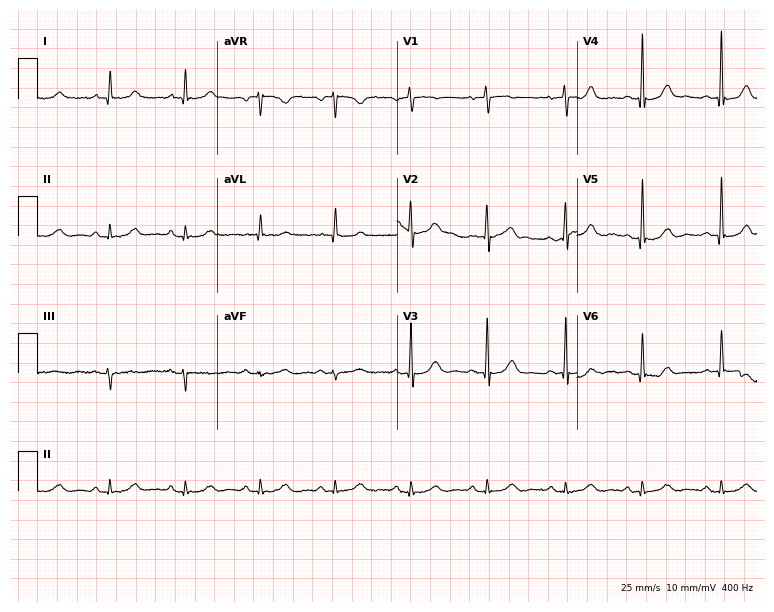
Resting 12-lead electrocardiogram. Patient: a male, 73 years old. None of these six findings is recorded: first-degree AV block, right bundle branch block (RBBB), left bundle branch block (LBBB), sinus bradycardia, atrial fibrillation (AF), sinus tachycardia. Other findings, if any, are not listed.